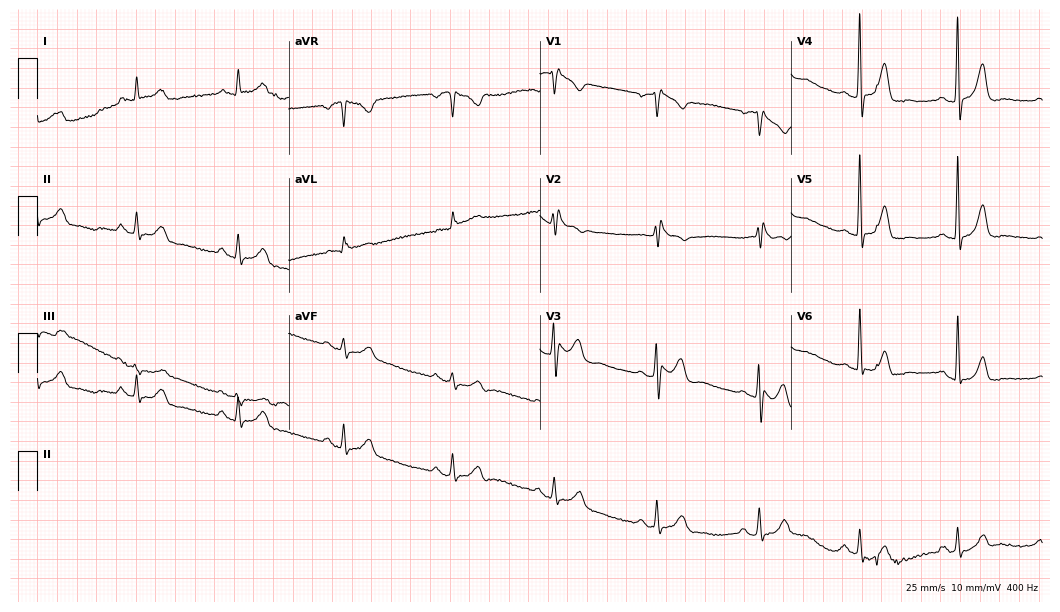
Standard 12-lead ECG recorded from a 59-year-old female (10.2-second recording at 400 Hz). The tracing shows right bundle branch block.